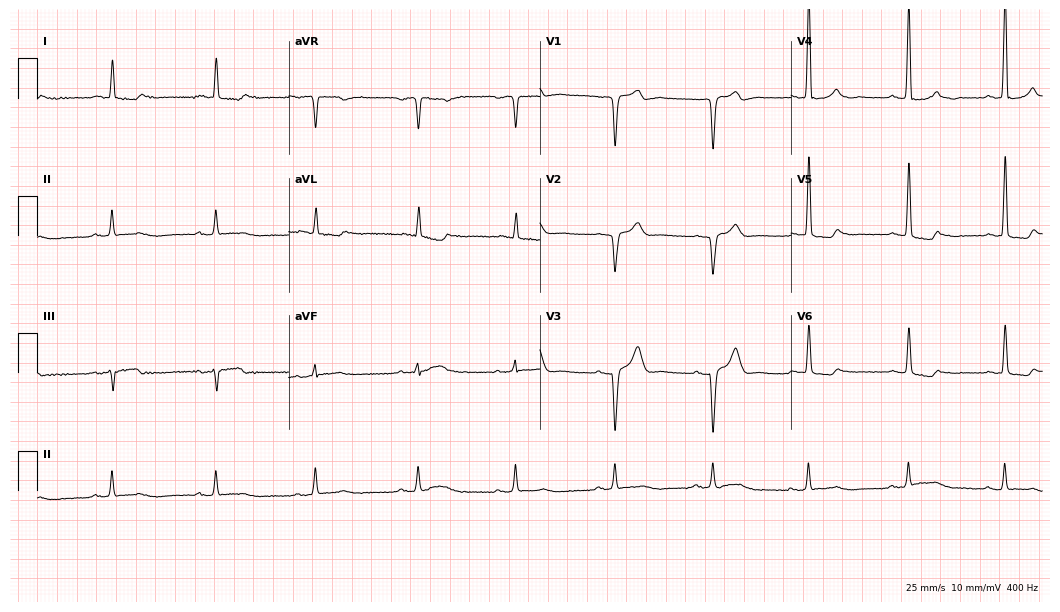
Resting 12-lead electrocardiogram. Patient: a 74-year-old man. None of these six findings is recorded: first-degree AV block, right bundle branch block (RBBB), left bundle branch block (LBBB), sinus bradycardia, atrial fibrillation (AF), sinus tachycardia.